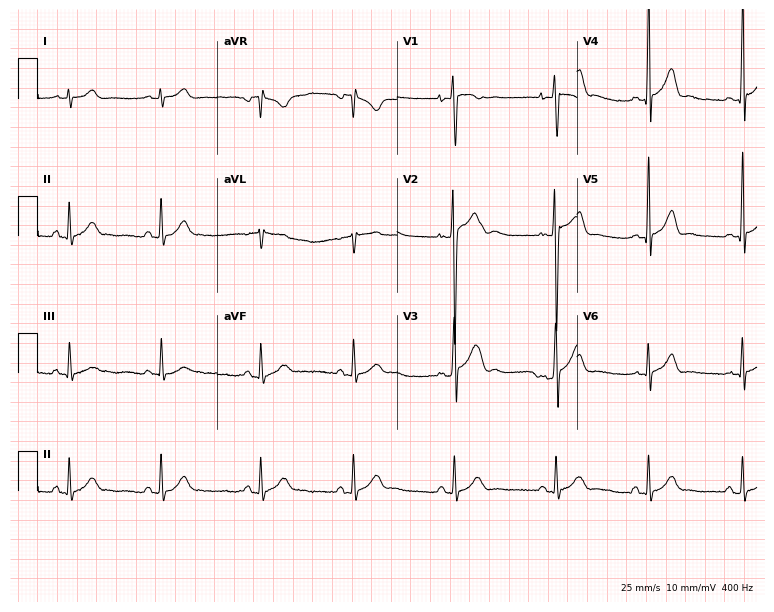
12-lead ECG from a 17-year-old man. Recorded interpretation: within normal limits.